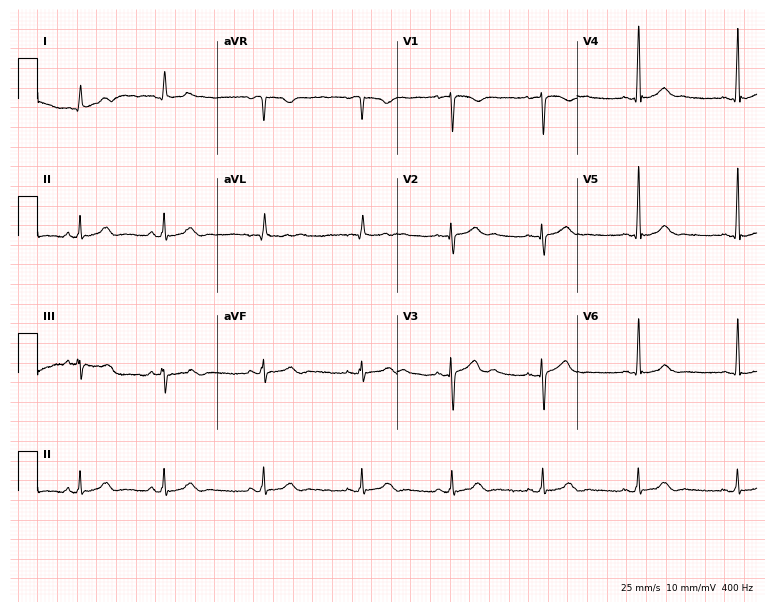
Standard 12-lead ECG recorded from a woman, 17 years old. None of these six findings is recorded: first-degree AV block, right bundle branch block, left bundle branch block, sinus bradycardia, atrial fibrillation, sinus tachycardia. Findings outside these six are not listed.